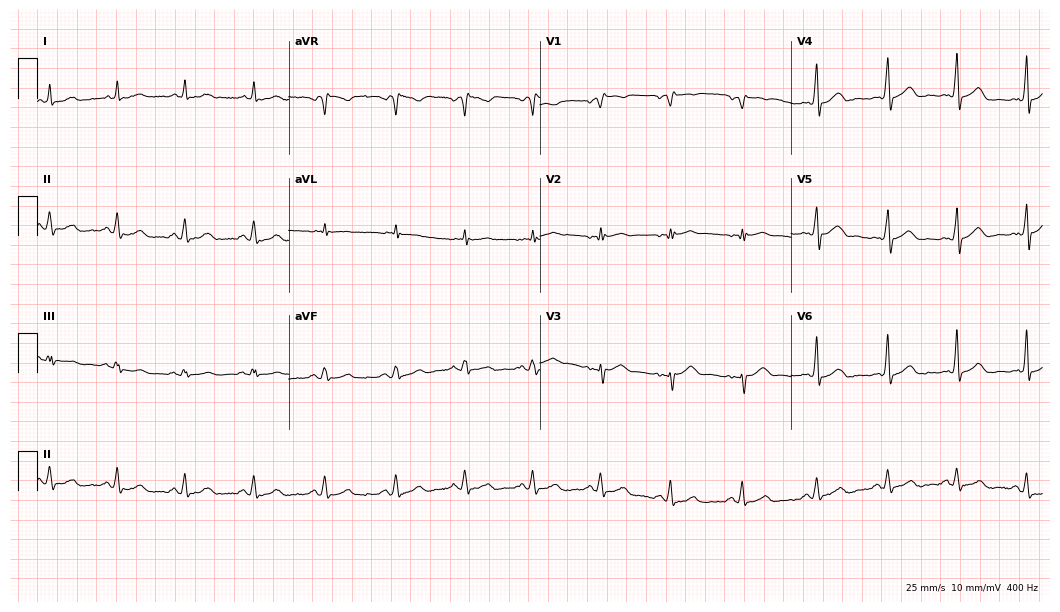
12-lead ECG (10.2-second recording at 400 Hz) from a male, 51 years old. Screened for six findings — first-degree AV block, right bundle branch block, left bundle branch block, sinus bradycardia, atrial fibrillation, sinus tachycardia — none is recorded. Other findings, if any, are not listed.